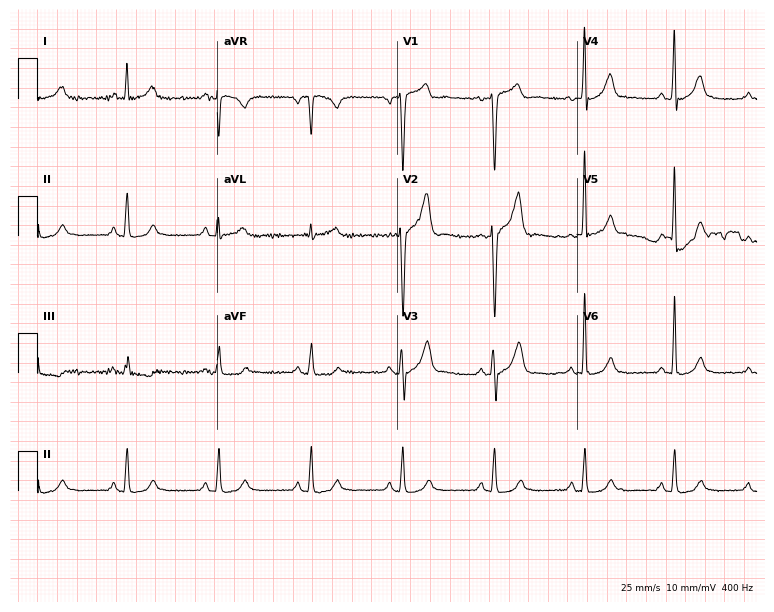
ECG — a 46-year-old male patient. Labelled as a normal ECG.